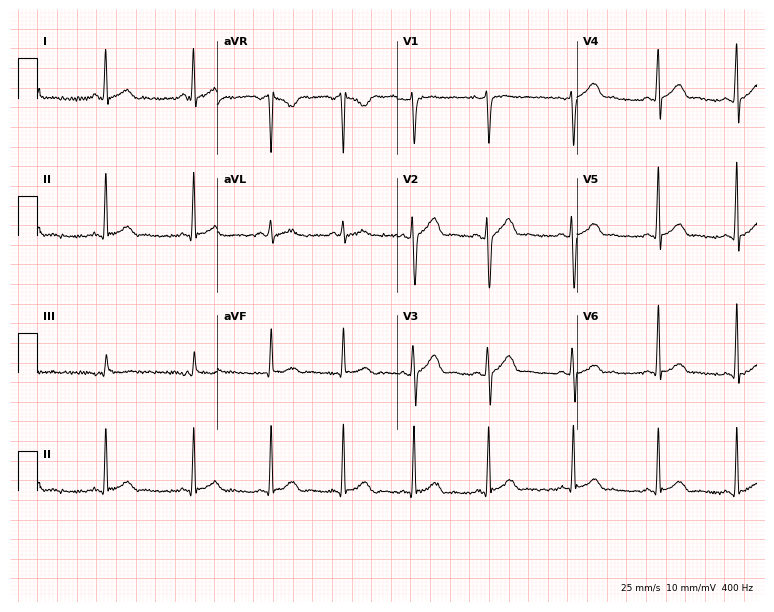
Standard 12-lead ECG recorded from a male patient, 28 years old. None of these six findings is recorded: first-degree AV block, right bundle branch block, left bundle branch block, sinus bradycardia, atrial fibrillation, sinus tachycardia. Other findings, if any, are not listed.